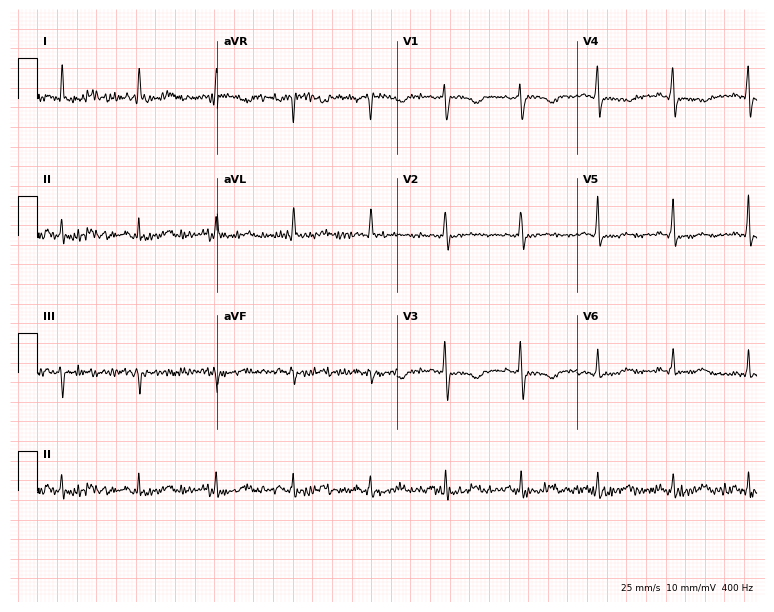
ECG — a female, 51 years old. Screened for six findings — first-degree AV block, right bundle branch block (RBBB), left bundle branch block (LBBB), sinus bradycardia, atrial fibrillation (AF), sinus tachycardia — none is recorded.